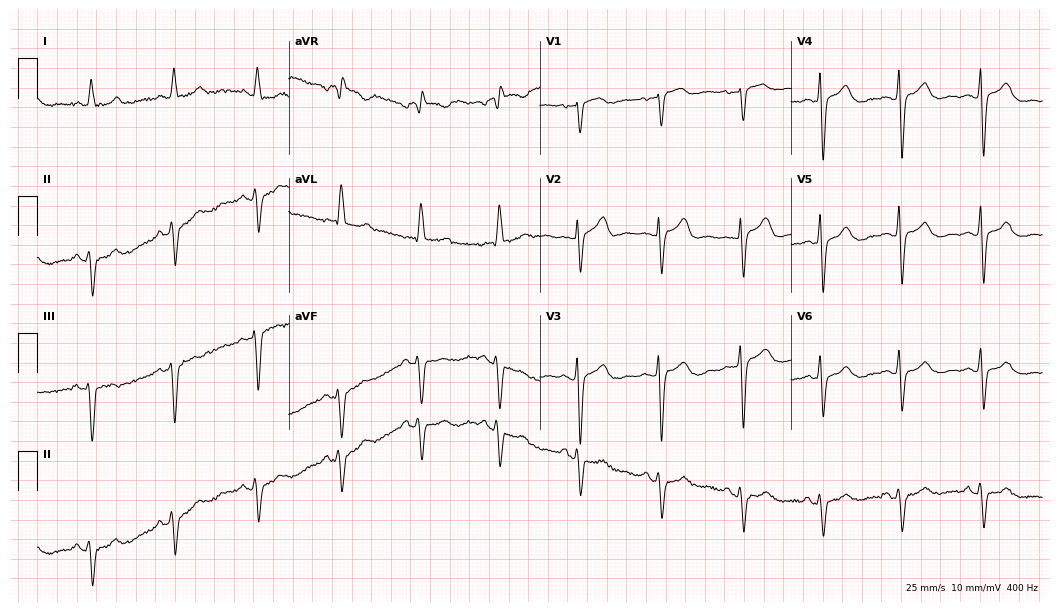
Resting 12-lead electrocardiogram. Patient: a female, 73 years old. None of these six findings is recorded: first-degree AV block, right bundle branch block, left bundle branch block, sinus bradycardia, atrial fibrillation, sinus tachycardia.